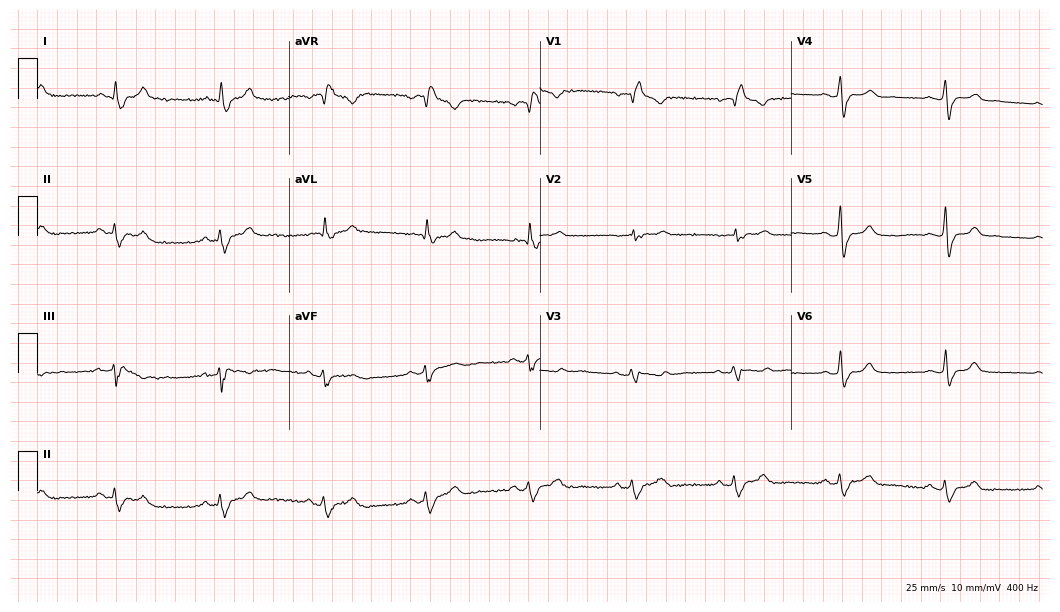
Resting 12-lead electrocardiogram. Patient: a 64-year-old female. The tracing shows right bundle branch block (RBBB).